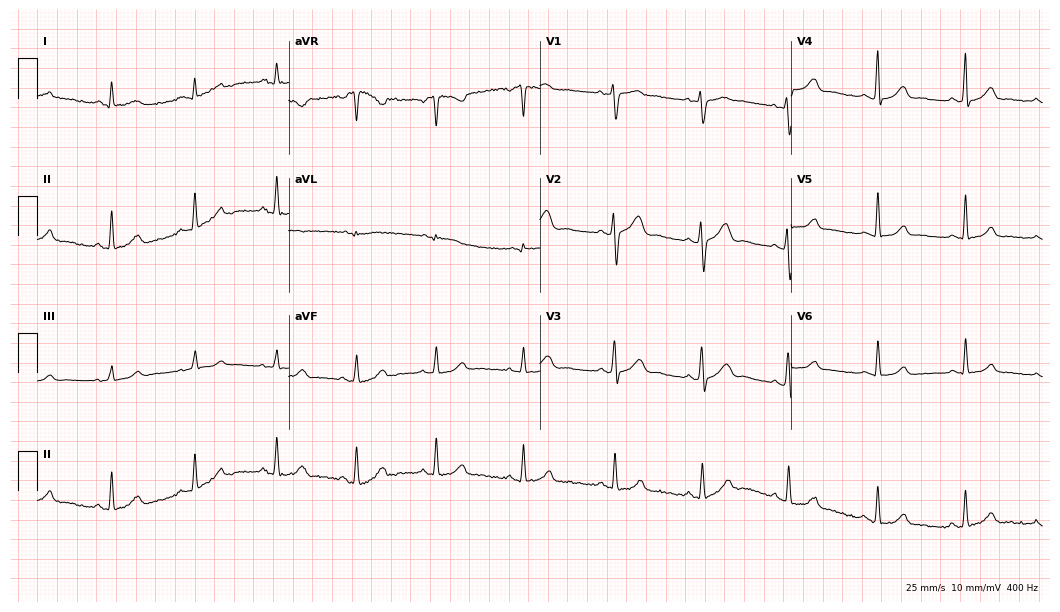
Resting 12-lead electrocardiogram. Patient: a 39-year-old female. Read as a normal ECG.